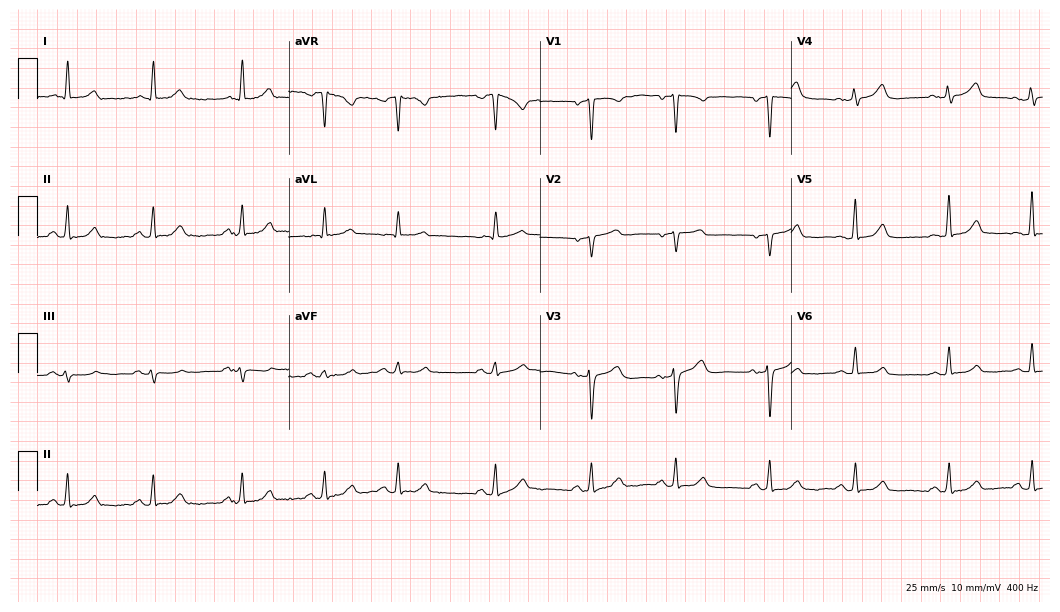
Resting 12-lead electrocardiogram. Patient: a female, 57 years old. Read as a normal ECG.